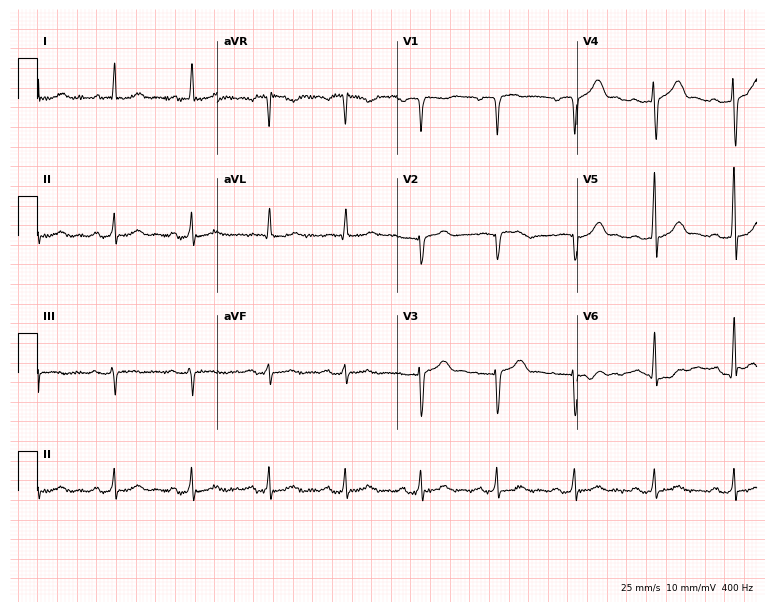
Resting 12-lead electrocardiogram. Patient: a male, 51 years old. None of these six findings is recorded: first-degree AV block, right bundle branch block, left bundle branch block, sinus bradycardia, atrial fibrillation, sinus tachycardia.